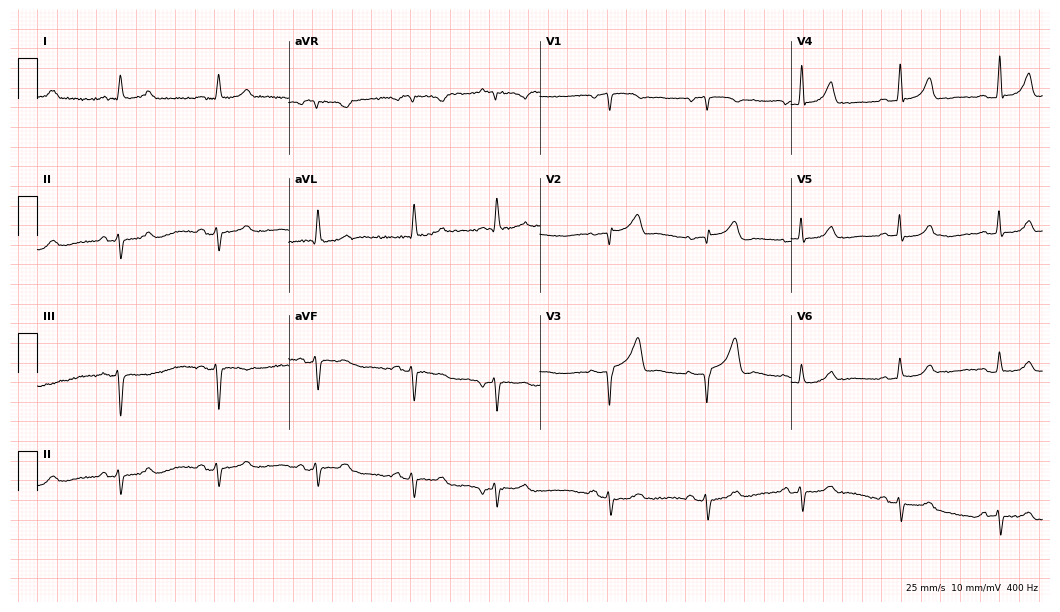
Electrocardiogram (10.2-second recording at 400 Hz), a male patient, 76 years old. Of the six screened findings (first-degree AV block, right bundle branch block, left bundle branch block, sinus bradycardia, atrial fibrillation, sinus tachycardia), none is recorded.